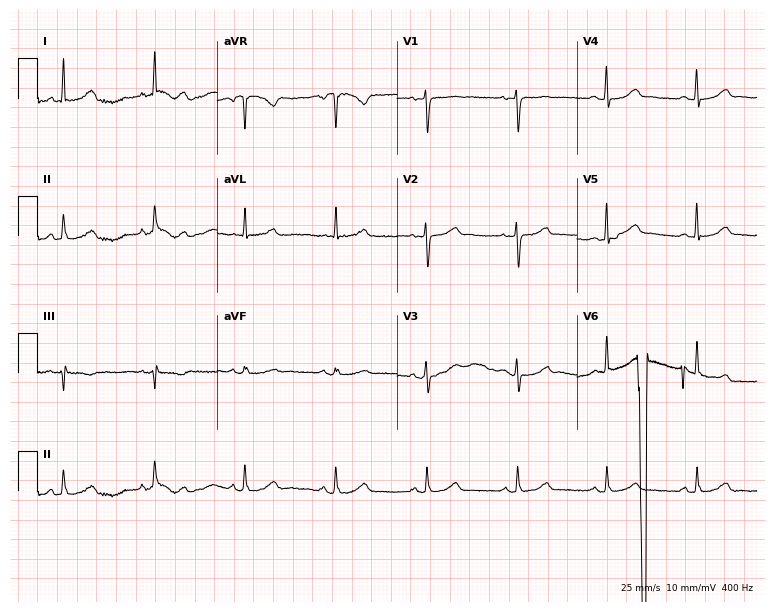
ECG (7.3-second recording at 400 Hz) — a 48-year-old woman. Labelled as a normal ECG.